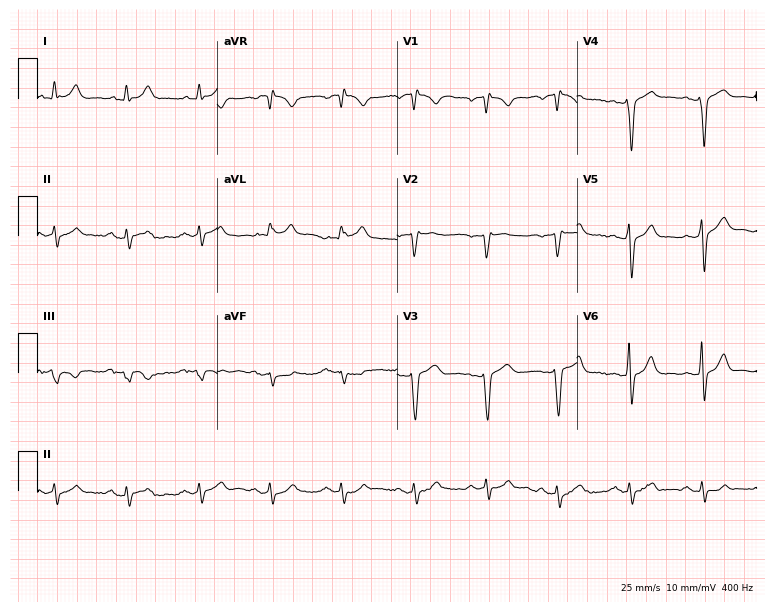
ECG — a male, 74 years old. Screened for six findings — first-degree AV block, right bundle branch block, left bundle branch block, sinus bradycardia, atrial fibrillation, sinus tachycardia — none is recorded. Findings outside these six are not listed.